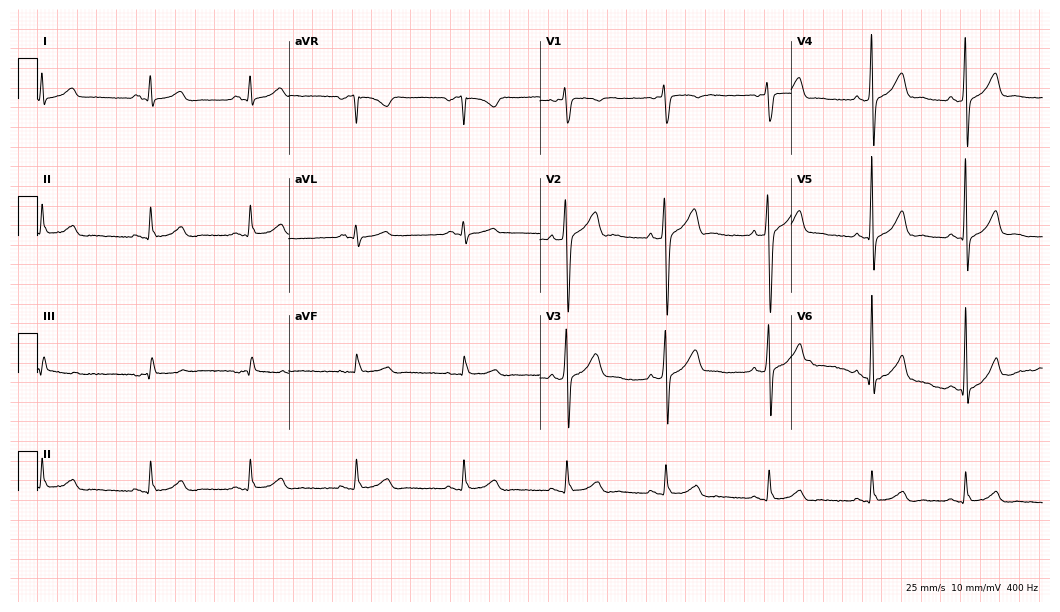
ECG — a 40-year-old man. Labelled as a normal ECG.